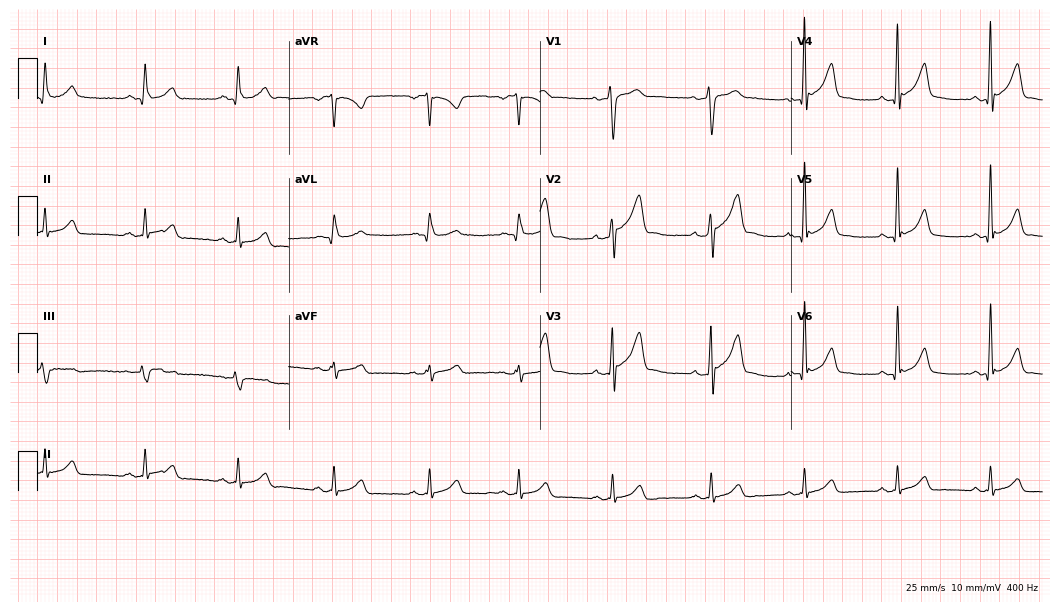
12-lead ECG from a male, 32 years old. No first-degree AV block, right bundle branch block, left bundle branch block, sinus bradycardia, atrial fibrillation or sinus tachycardia recorded for this tracing.